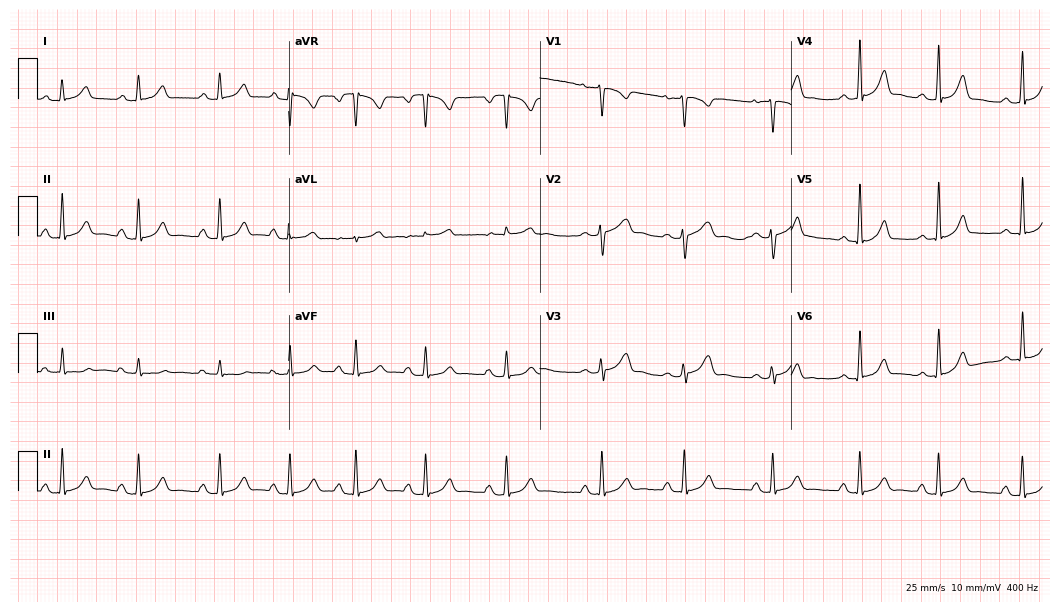
Electrocardiogram, a 24-year-old woman. Overall reading on record: normal ECG.